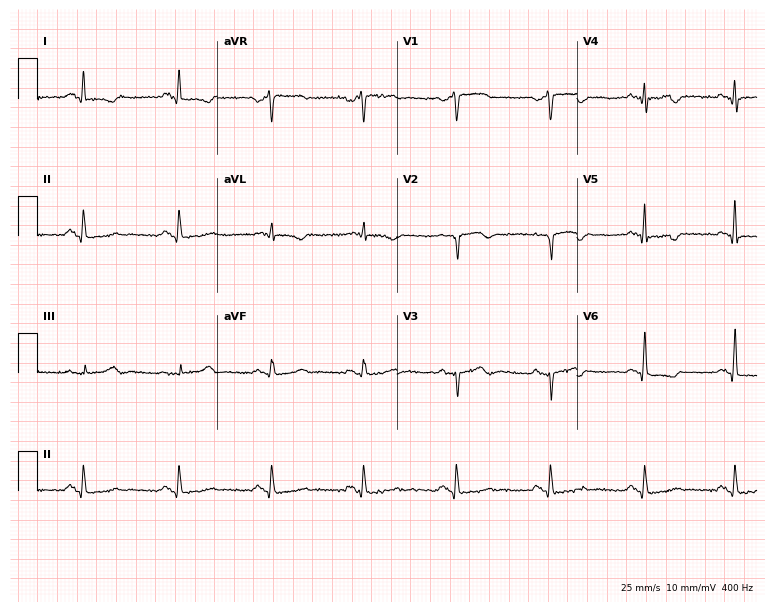
ECG — a male patient, 74 years old. Labelled as a normal ECG.